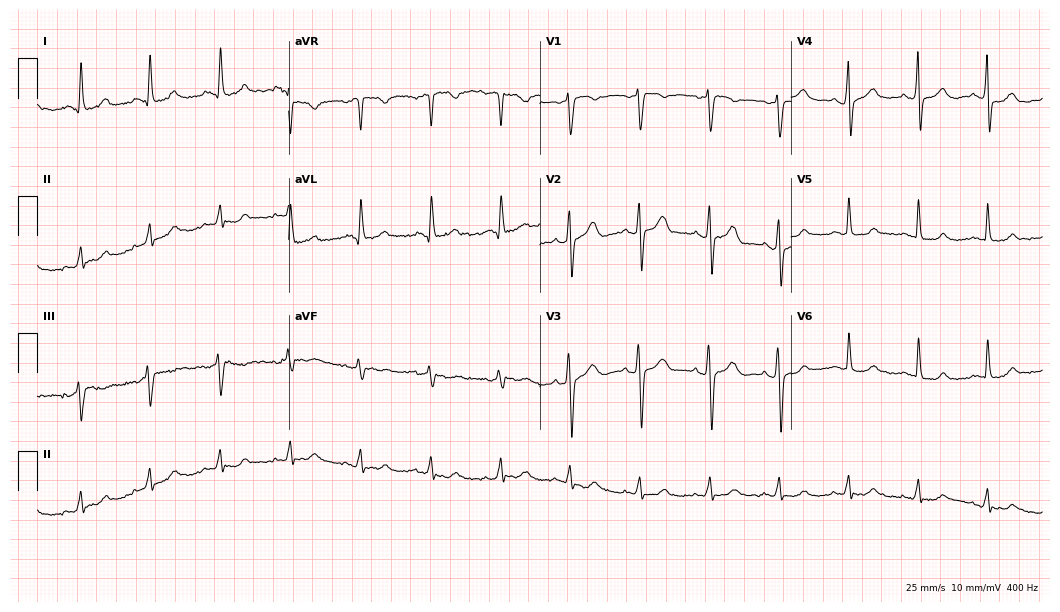
12-lead ECG from a female, 56 years old. Labelled as a normal ECG.